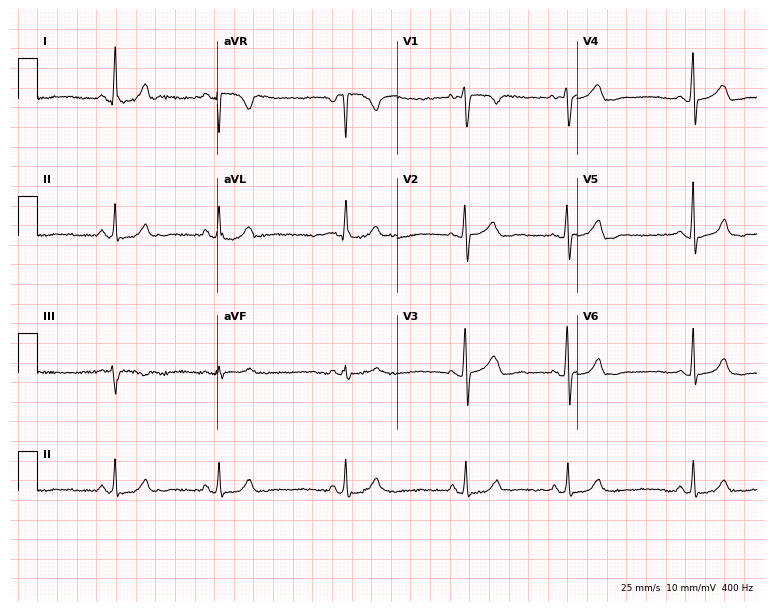
Resting 12-lead electrocardiogram. Patient: a female, 40 years old. Read as a normal ECG.